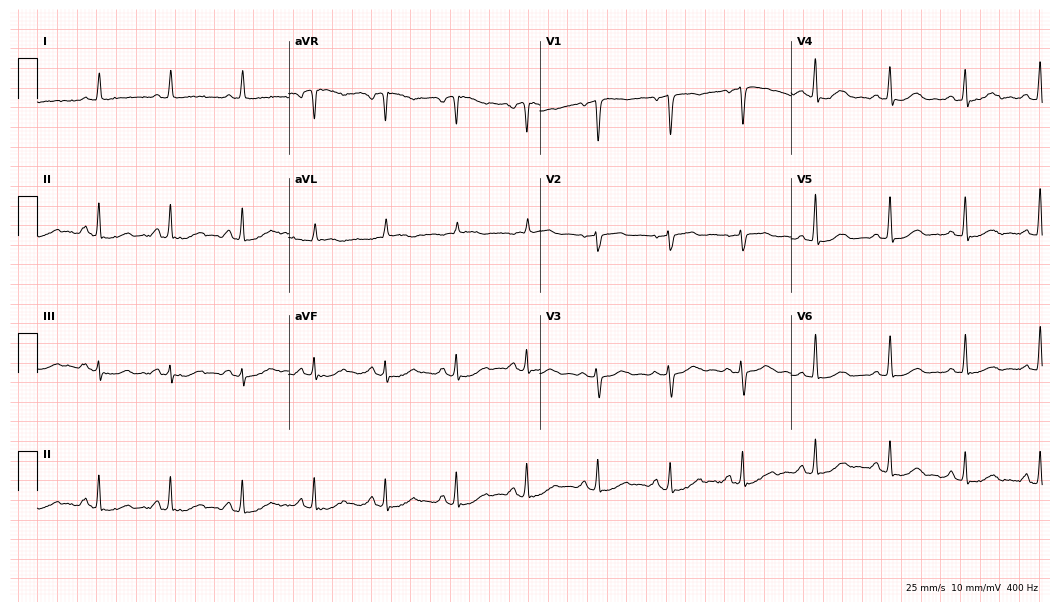
Electrocardiogram (10.2-second recording at 400 Hz), a 63-year-old female. Of the six screened findings (first-degree AV block, right bundle branch block, left bundle branch block, sinus bradycardia, atrial fibrillation, sinus tachycardia), none is recorded.